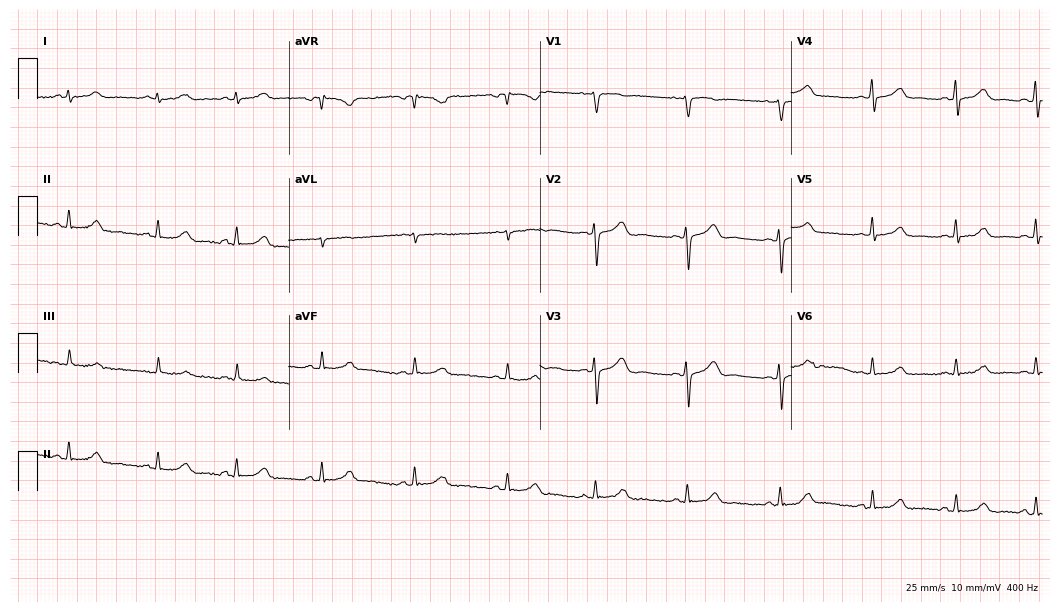
Electrocardiogram, a woman, 18 years old. Of the six screened findings (first-degree AV block, right bundle branch block (RBBB), left bundle branch block (LBBB), sinus bradycardia, atrial fibrillation (AF), sinus tachycardia), none is recorded. Findings outside these six are not listed.